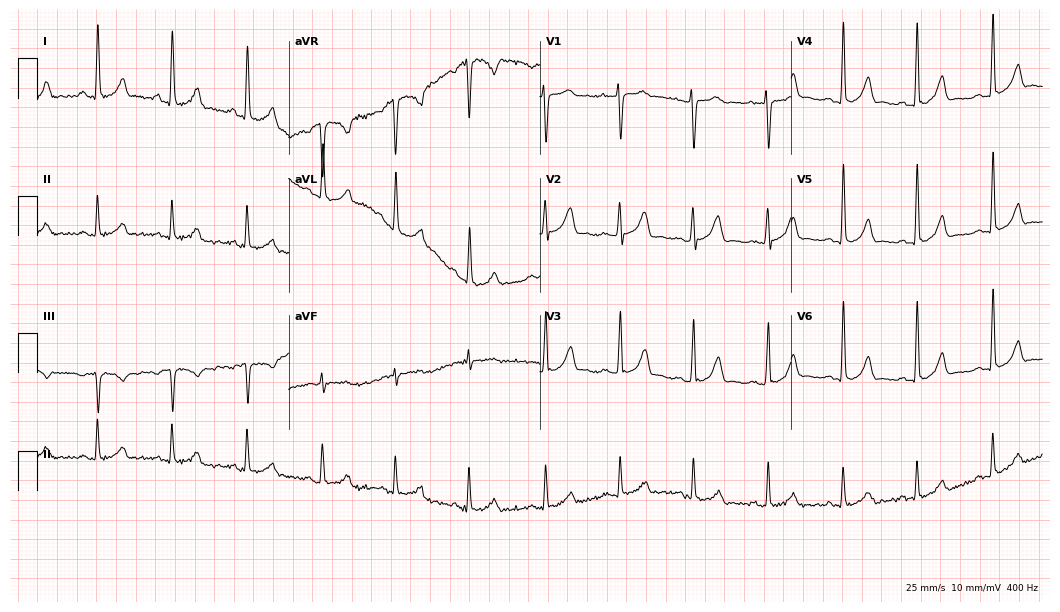
Standard 12-lead ECG recorded from a 23-year-old woman (10.2-second recording at 400 Hz). Read as a normal ECG.